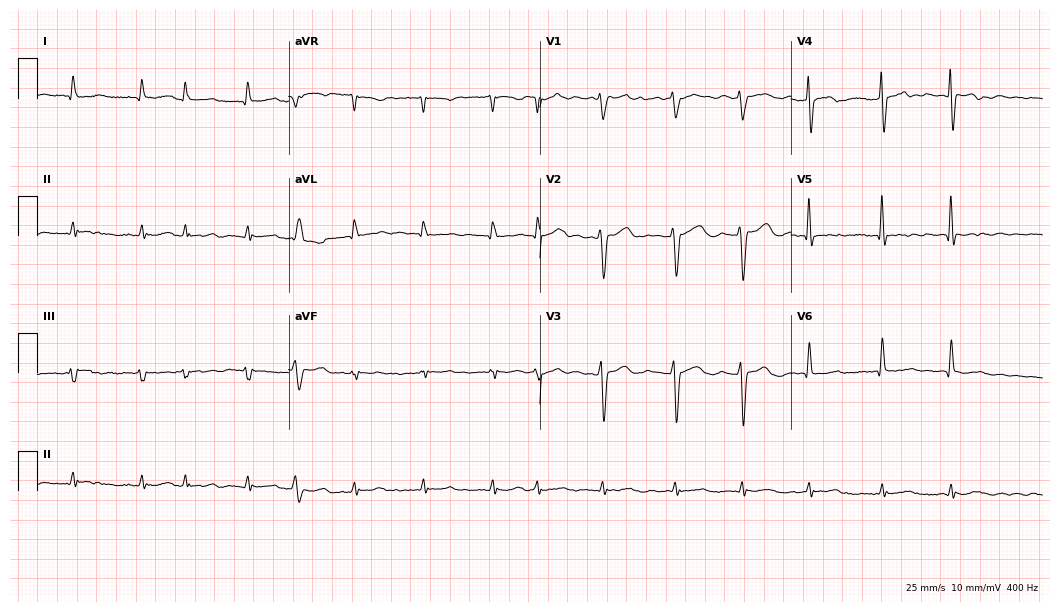
Resting 12-lead electrocardiogram. Patient: a man, 72 years old. The tracing shows atrial fibrillation.